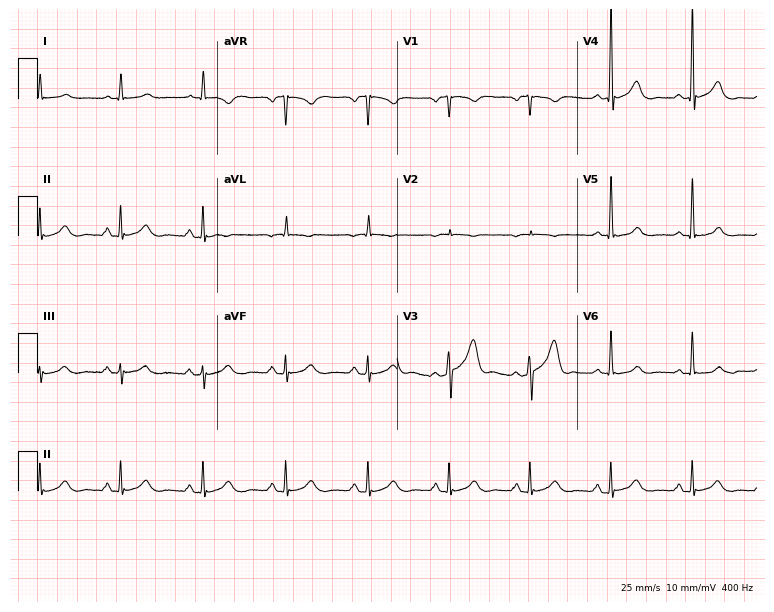
12-lead ECG from a male, 57 years old. Labelled as a normal ECG.